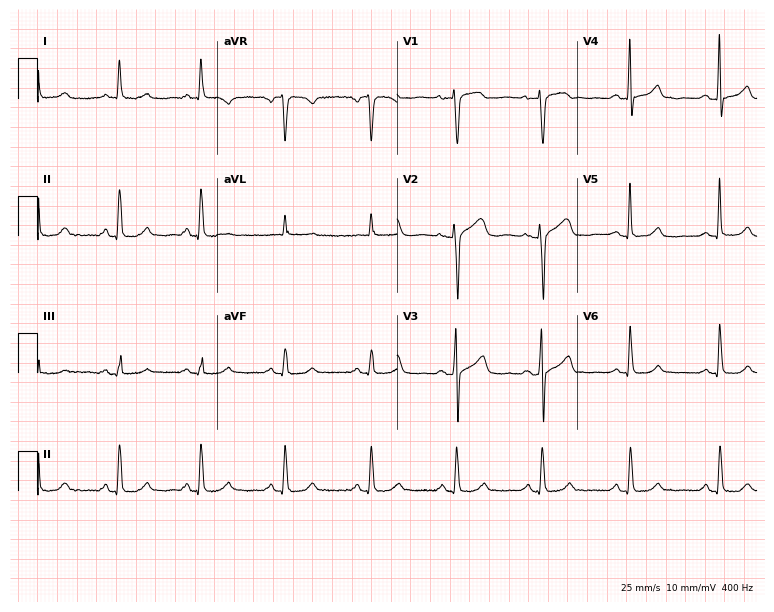
12-lead ECG from a 62-year-old female. Screened for six findings — first-degree AV block, right bundle branch block, left bundle branch block, sinus bradycardia, atrial fibrillation, sinus tachycardia — none is recorded. Findings outside these six are not listed.